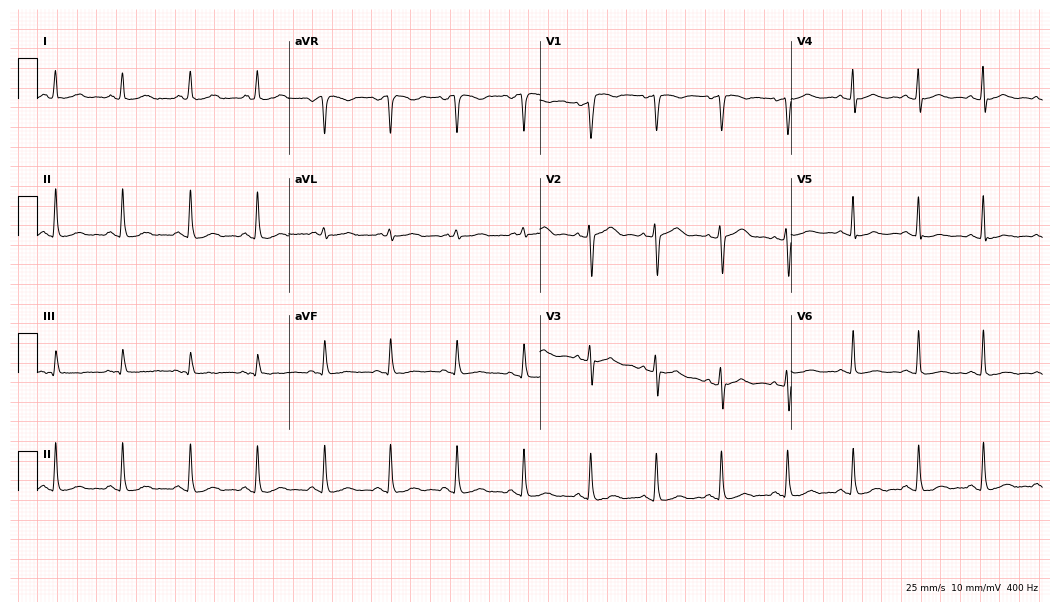
Standard 12-lead ECG recorded from a female patient, 52 years old (10.2-second recording at 400 Hz). Read as a normal ECG.